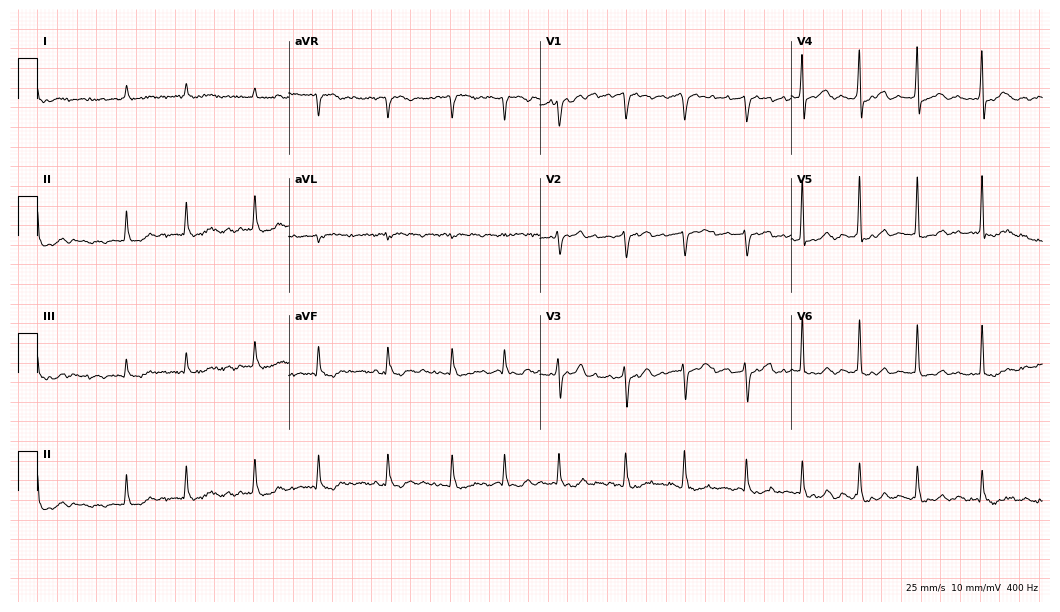
ECG — an 80-year-old man. Findings include atrial fibrillation (AF).